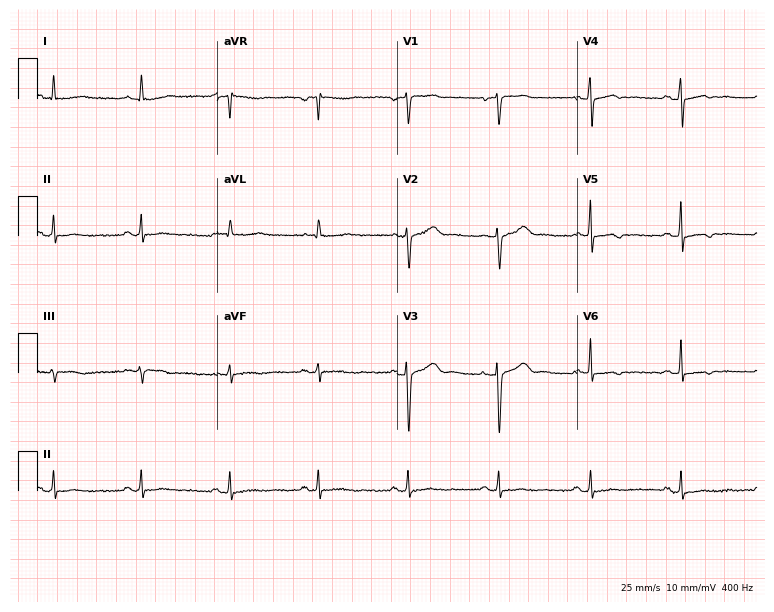
Electrocardiogram, a female patient, 48 years old. Of the six screened findings (first-degree AV block, right bundle branch block (RBBB), left bundle branch block (LBBB), sinus bradycardia, atrial fibrillation (AF), sinus tachycardia), none is recorded.